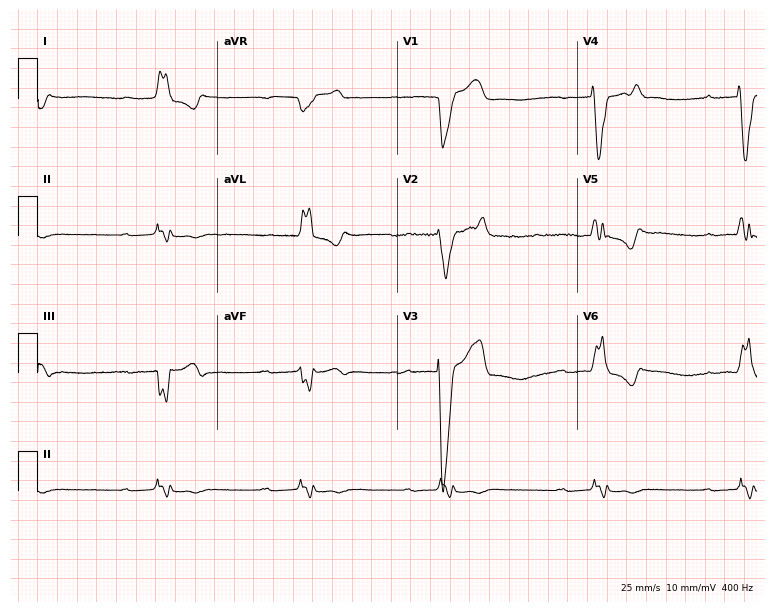
12-lead ECG from a male, 84 years old (7.3-second recording at 400 Hz). Shows first-degree AV block, right bundle branch block, left bundle branch block.